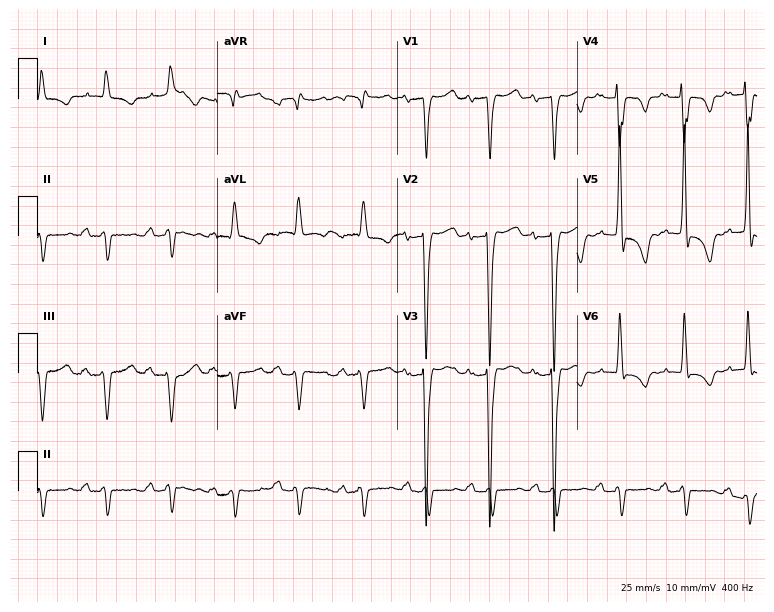
Electrocardiogram, a 78-year-old male patient. Of the six screened findings (first-degree AV block, right bundle branch block, left bundle branch block, sinus bradycardia, atrial fibrillation, sinus tachycardia), none is recorded. Findings outside these six are not listed.